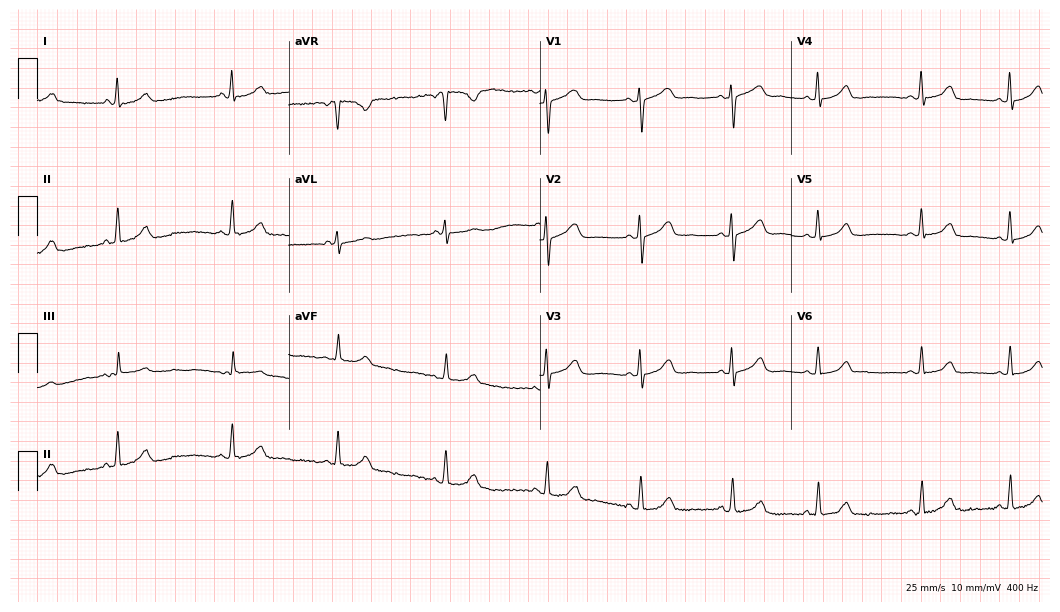
12-lead ECG from a female patient, 26 years old (10.2-second recording at 400 Hz). Recorded interpretation: within normal limits.